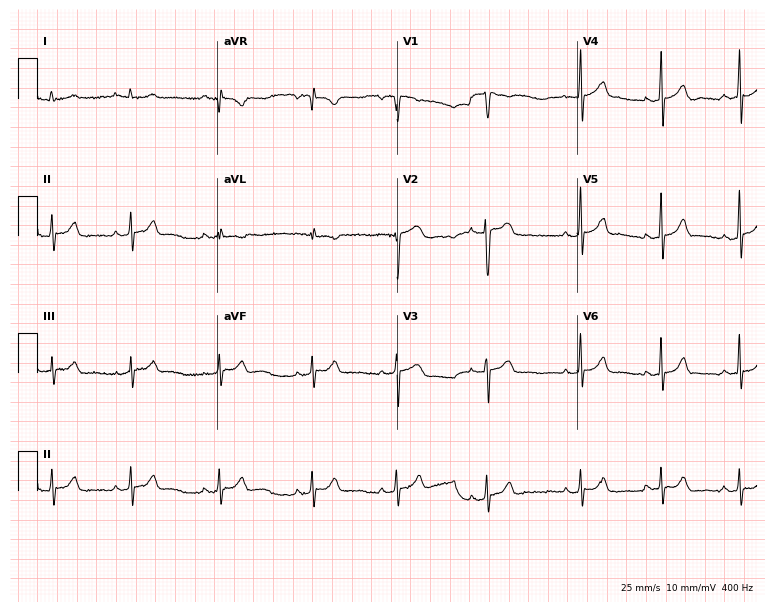
12-lead ECG from a female, 21 years old. No first-degree AV block, right bundle branch block, left bundle branch block, sinus bradycardia, atrial fibrillation or sinus tachycardia recorded for this tracing.